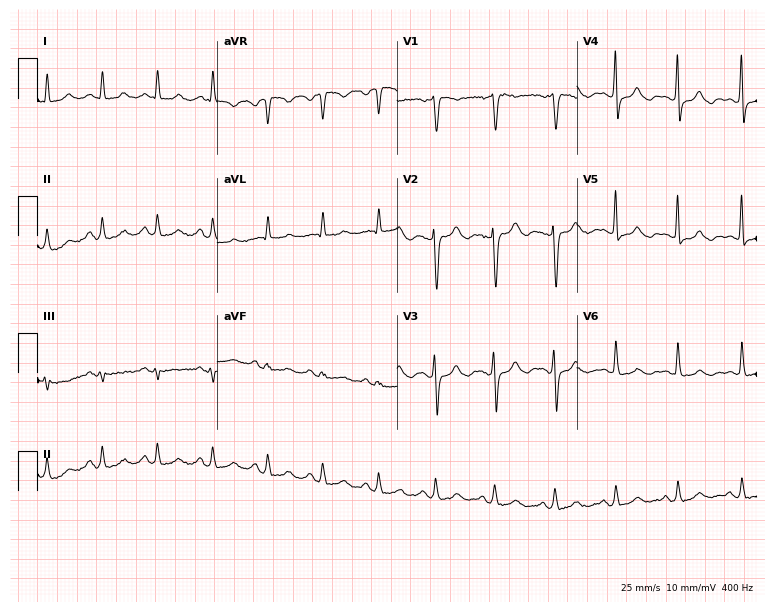
Standard 12-lead ECG recorded from a 44-year-old woman. None of these six findings is recorded: first-degree AV block, right bundle branch block, left bundle branch block, sinus bradycardia, atrial fibrillation, sinus tachycardia. Only these six findings were labelled.